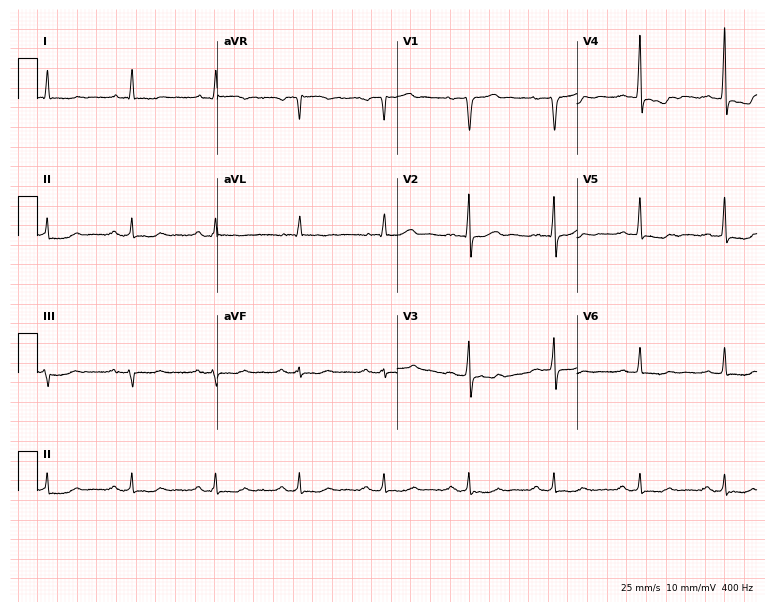
ECG (7.3-second recording at 400 Hz) — a 78-year-old male. Screened for six findings — first-degree AV block, right bundle branch block, left bundle branch block, sinus bradycardia, atrial fibrillation, sinus tachycardia — none is recorded. Other findings, if any, are not listed.